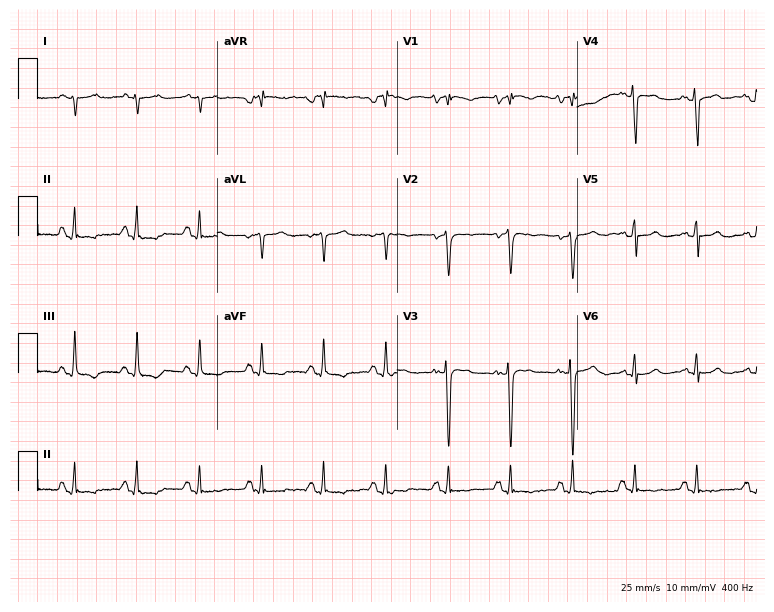
12-lead ECG (7.3-second recording at 400 Hz) from a woman, 68 years old. Screened for six findings — first-degree AV block, right bundle branch block (RBBB), left bundle branch block (LBBB), sinus bradycardia, atrial fibrillation (AF), sinus tachycardia — none is recorded.